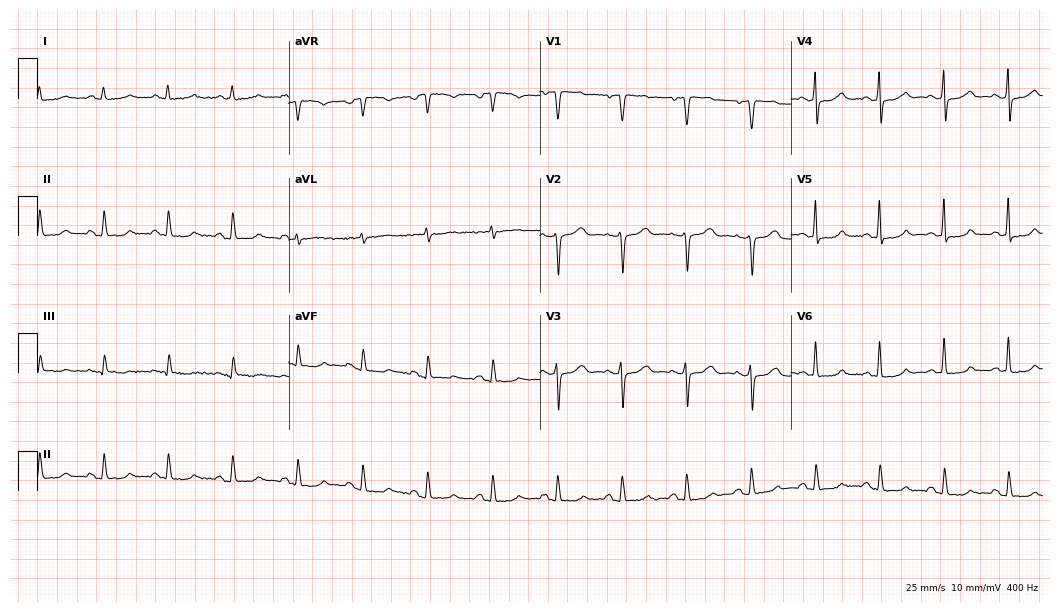
12-lead ECG from a female patient, 74 years old. Screened for six findings — first-degree AV block, right bundle branch block, left bundle branch block, sinus bradycardia, atrial fibrillation, sinus tachycardia — none is recorded. Only these six findings were labelled.